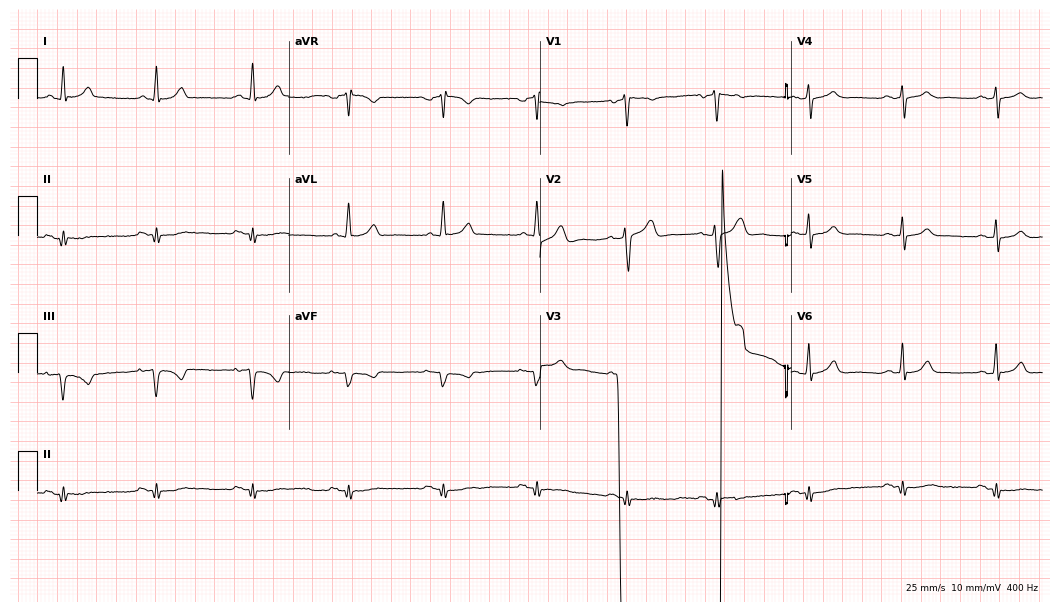
Electrocardiogram, a 56-year-old male patient. Of the six screened findings (first-degree AV block, right bundle branch block, left bundle branch block, sinus bradycardia, atrial fibrillation, sinus tachycardia), none is recorded. Other findings, if any, are not listed.